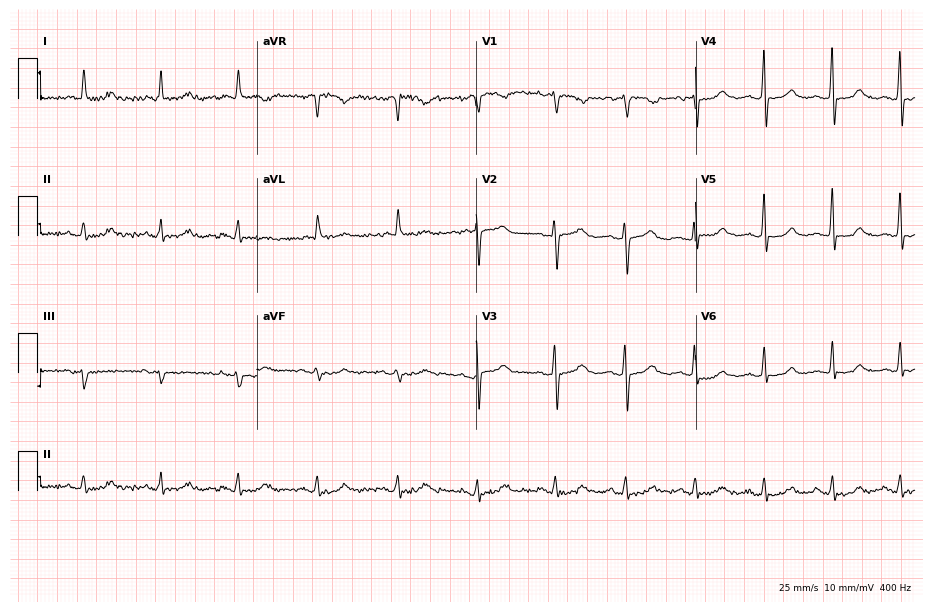
ECG (8.9-second recording at 400 Hz) — a female patient, 66 years old. Screened for six findings — first-degree AV block, right bundle branch block, left bundle branch block, sinus bradycardia, atrial fibrillation, sinus tachycardia — none is recorded. Only these six findings were labelled.